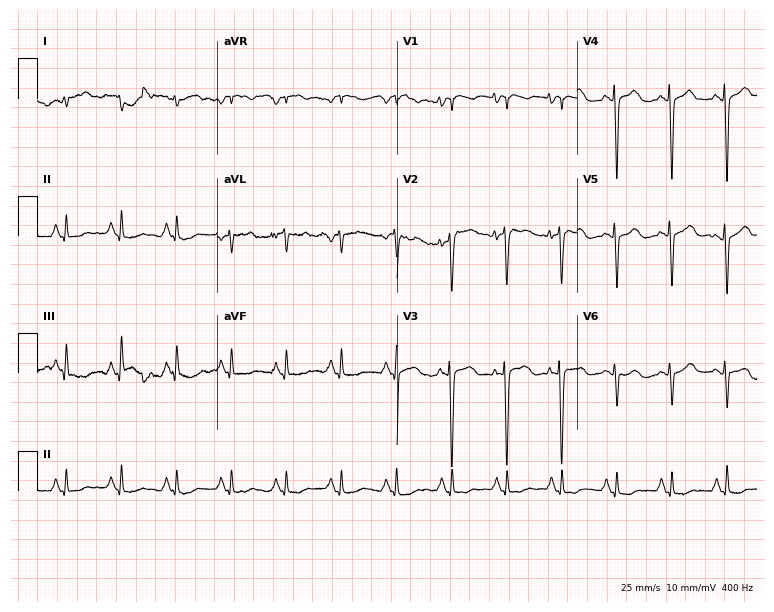
Standard 12-lead ECG recorded from a 76-year-old female patient. None of these six findings is recorded: first-degree AV block, right bundle branch block, left bundle branch block, sinus bradycardia, atrial fibrillation, sinus tachycardia.